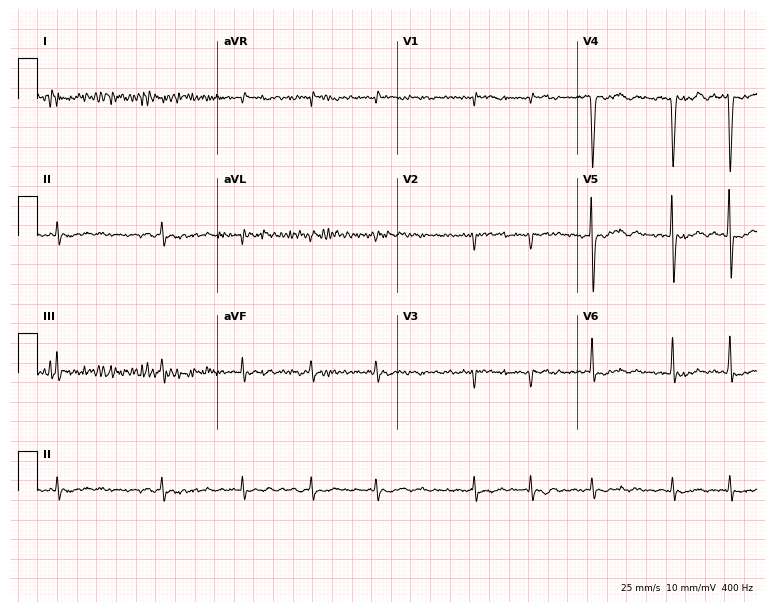
Standard 12-lead ECG recorded from an 84-year-old female (7.3-second recording at 400 Hz). None of these six findings is recorded: first-degree AV block, right bundle branch block (RBBB), left bundle branch block (LBBB), sinus bradycardia, atrial fibrillation (AF), sinus tachycardia. Only these six findings were labelled.